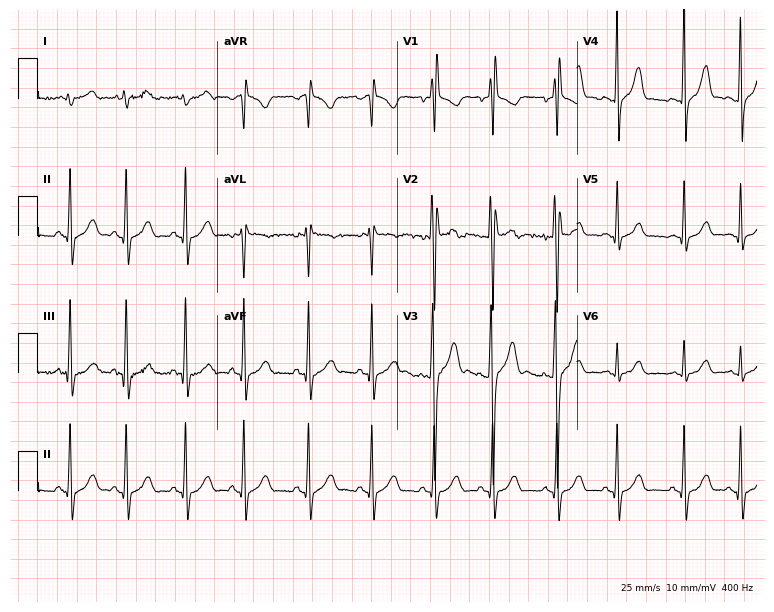
Standard 12-lead ECG recorded from a male patient, 17 years old. None of these six findings is recorded: first-degree AV block, right bundle branch block, left bundle branch block, sinus bradycardia, atrial fibrillation, sinus tachycardia. Only these six findings were labelled.